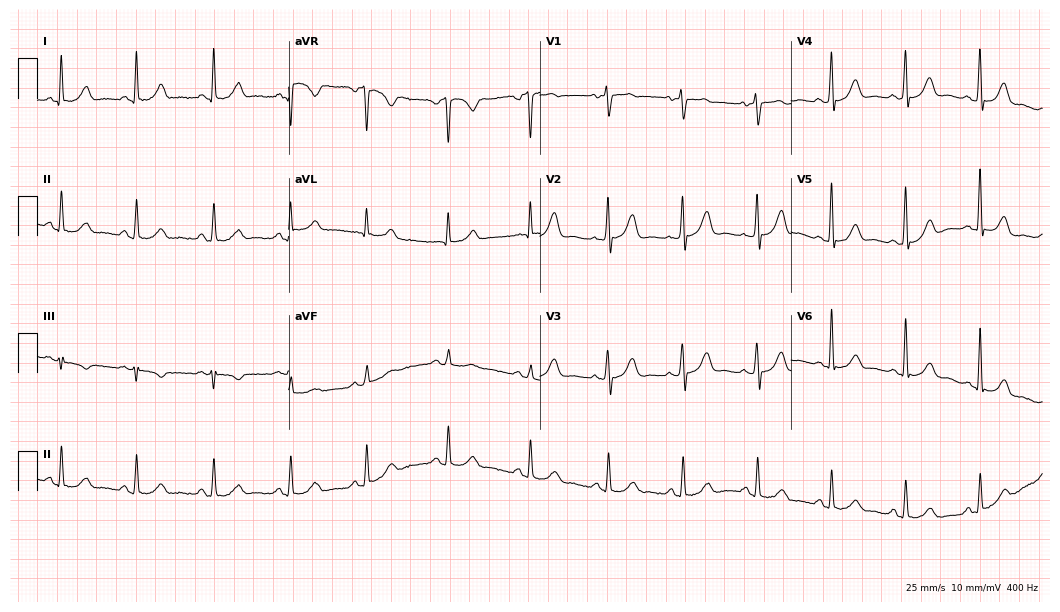
12-lead ECG (10.2-second recording at 400 Hz) from a 48-year-old female. Labelled as a normal ECG.